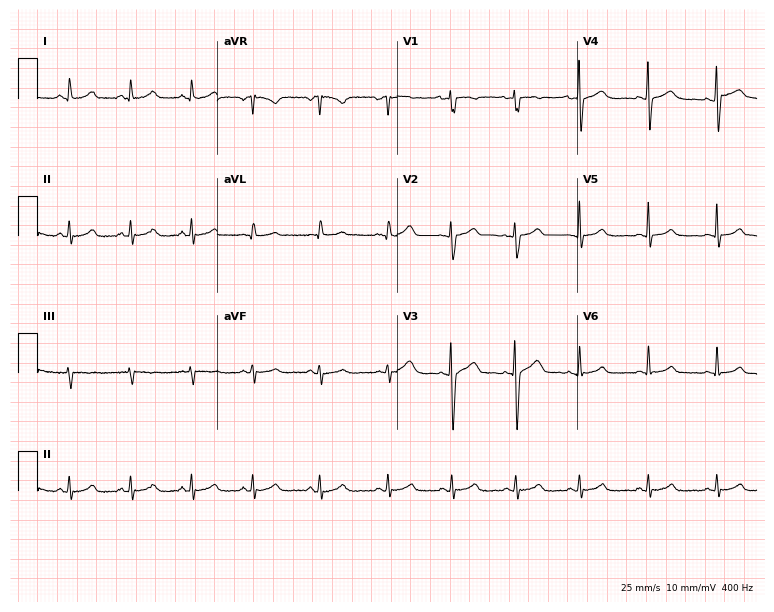
Electrocardiogram, a female patient, 30 years old. Overall reading on record: normal ECG.